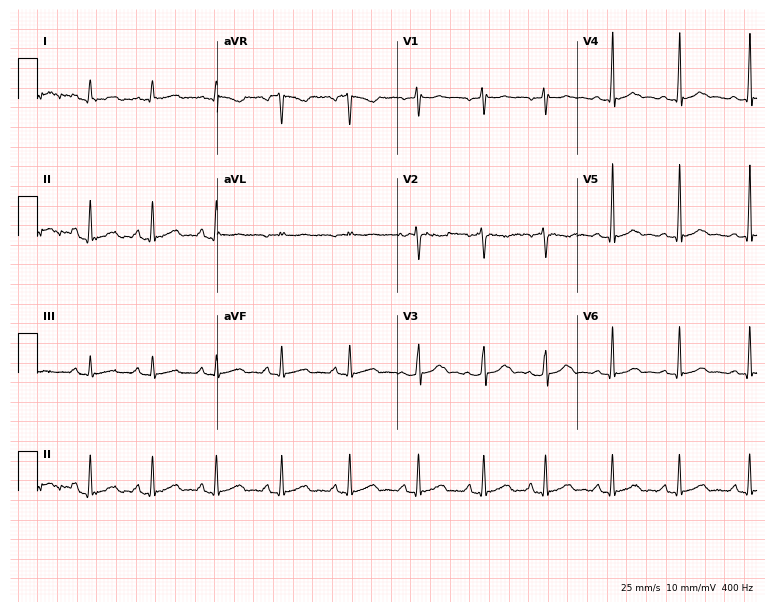
ECG — a 26-year-old female. Labelled as a normal ECG.